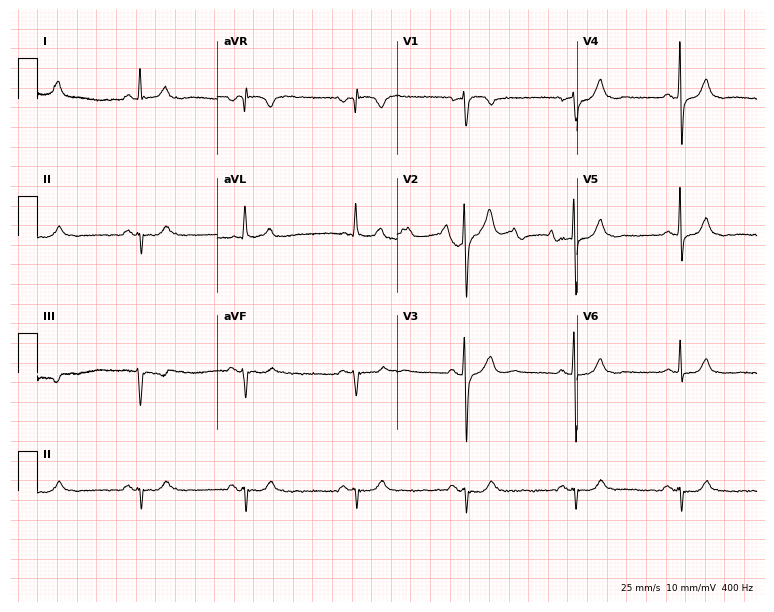
12-lead ECG (7.3-second recording at 400 Hz) from a male patient, 66 years old. Labelled as a normal ECG.